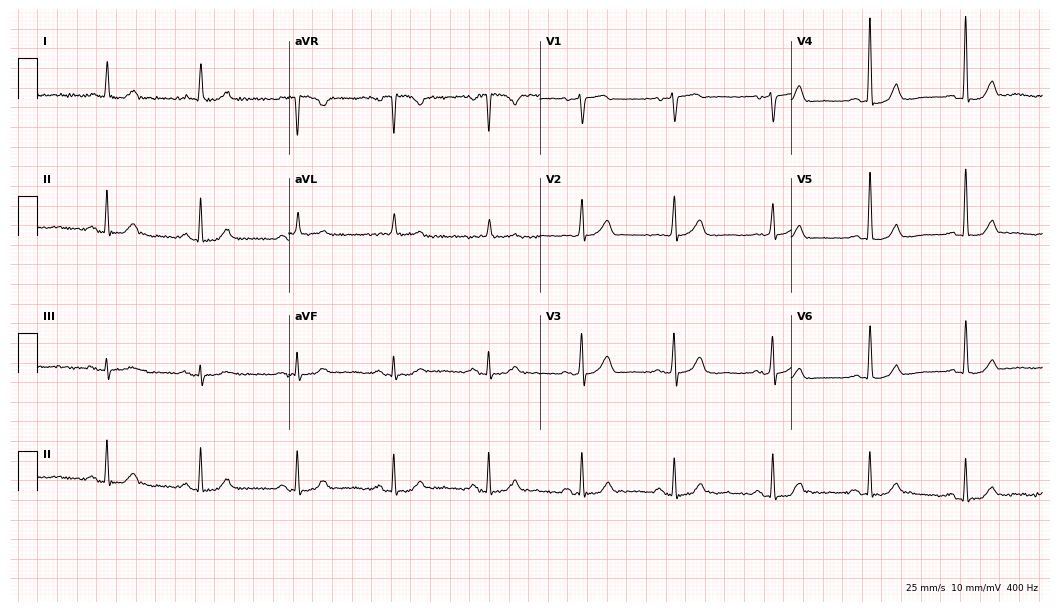
12-lead ECG from a female patient, 82 years old. Recorded interpretation: within normal limits.